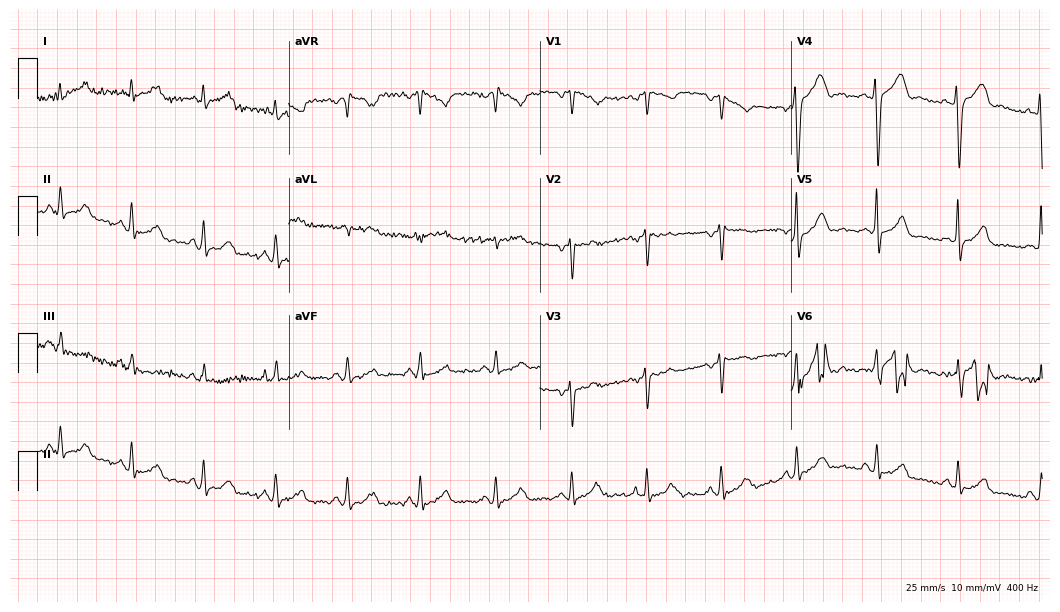
Electrocardiogram (10.2-second recording at 400 Hz), a 73-year-old female patient. Overall reading on record: normal ECG.